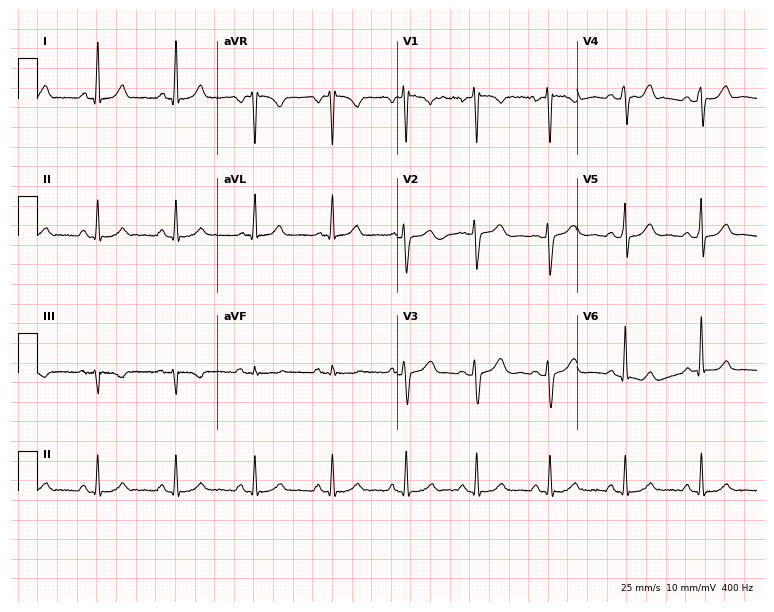
Electrocardiogram, a female patient, 48 years old. Of the six screened findings (first-degree AV block, right bundle branch block (RBBB), left bundle branch block (LBBB), sinus bradycardia, atrial fibrillation (AF), sinus tachycardia), none is recorded.